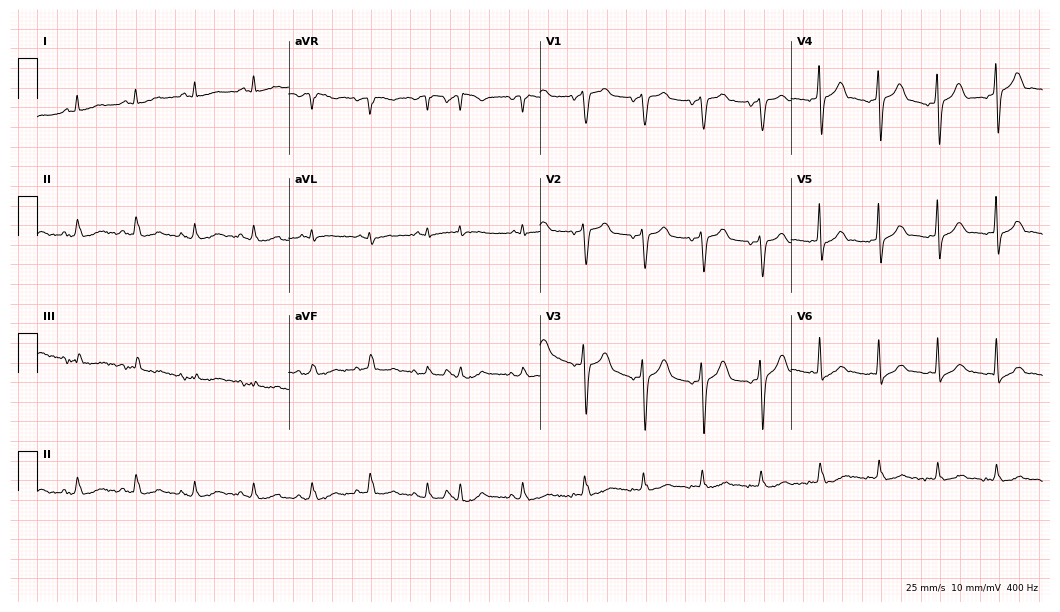
12-lead ECG from a man, 71 years old. Labelled as a normal ECG.